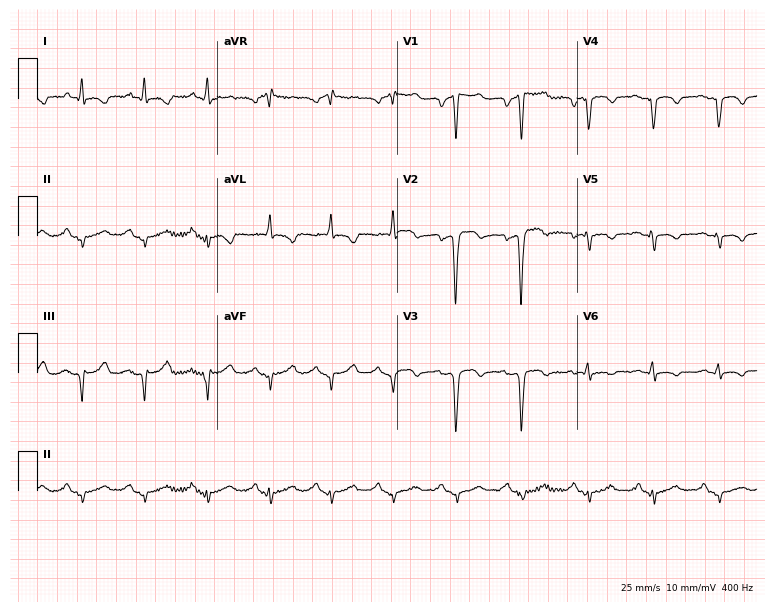
Standard 12-lead ECG recorded from a 55-year-old male patient. None of these six findings is recorded: first-degree AV block, right bundle branch block (RBBB), left bundle branch block (LBBB), sinus bradycardia, atrial fibrillation (AF), sinus tachycardia.